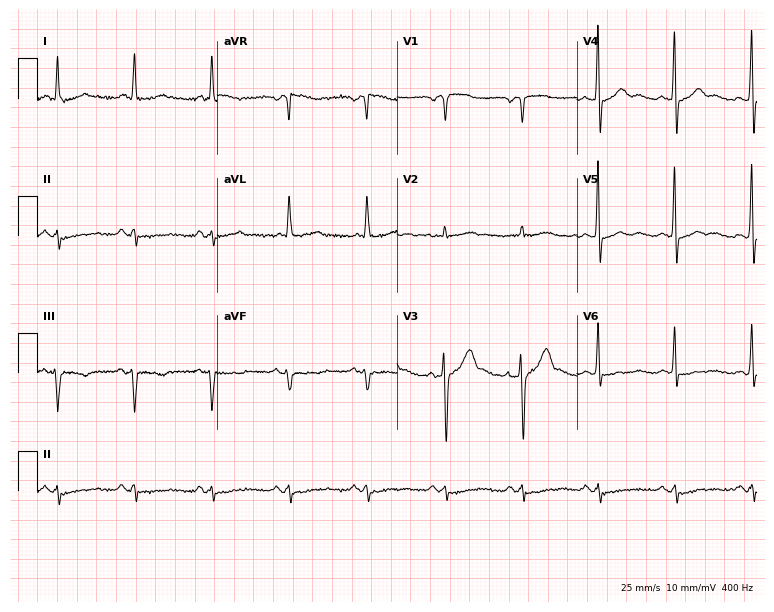
ECG — a 78-year-old male. Labelled as a normal ECG.